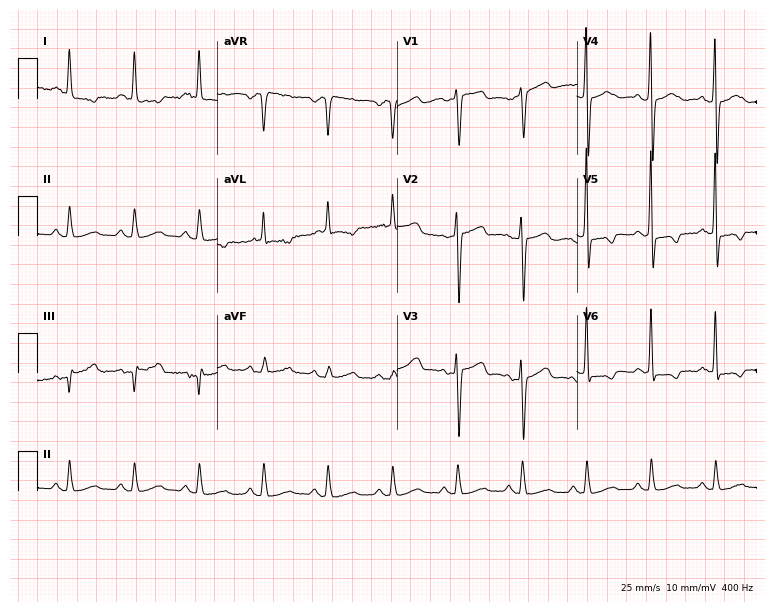
ECG (7.3-second recording at 400 Hz) — a female patient, 72 years old. Screened for six findings — first-degree AV block, right bundle branch block (RBBB), left bundle branch block (LBBB), sinus bradycardia, atrial fibrillation (AF), sinus tachycardia — none is recorded.